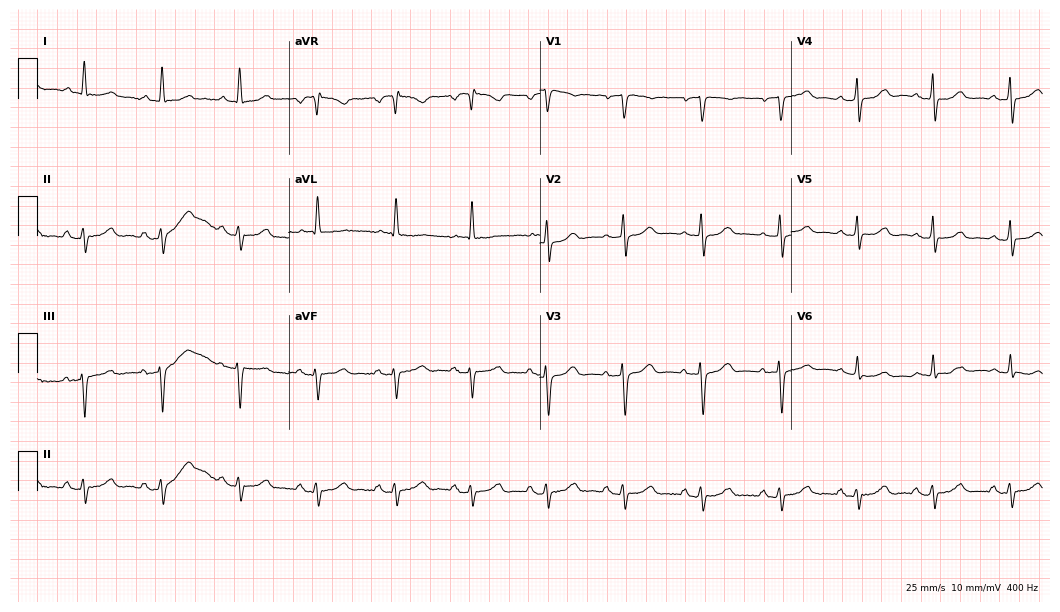
Resting 12-lead electrocardiogram. Patient: a female, 64 years old. None of these six findings is recorded: first-degree AV block, right bundle branch block, left bundle branch block, sinus bradycardia, atrial fibrillation, sinus tachycardia.